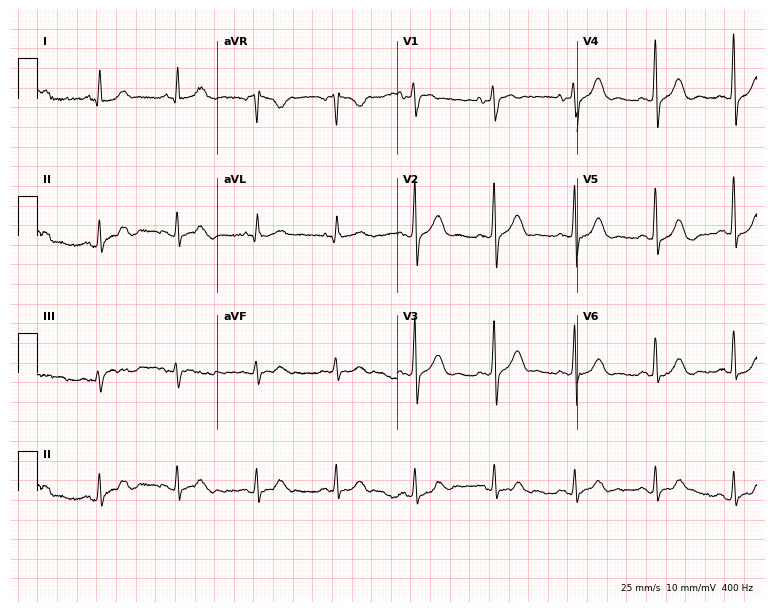
Resting 12-lead electrocardiogram. Patient: a man, 74 years old. Read as a normal ECG.